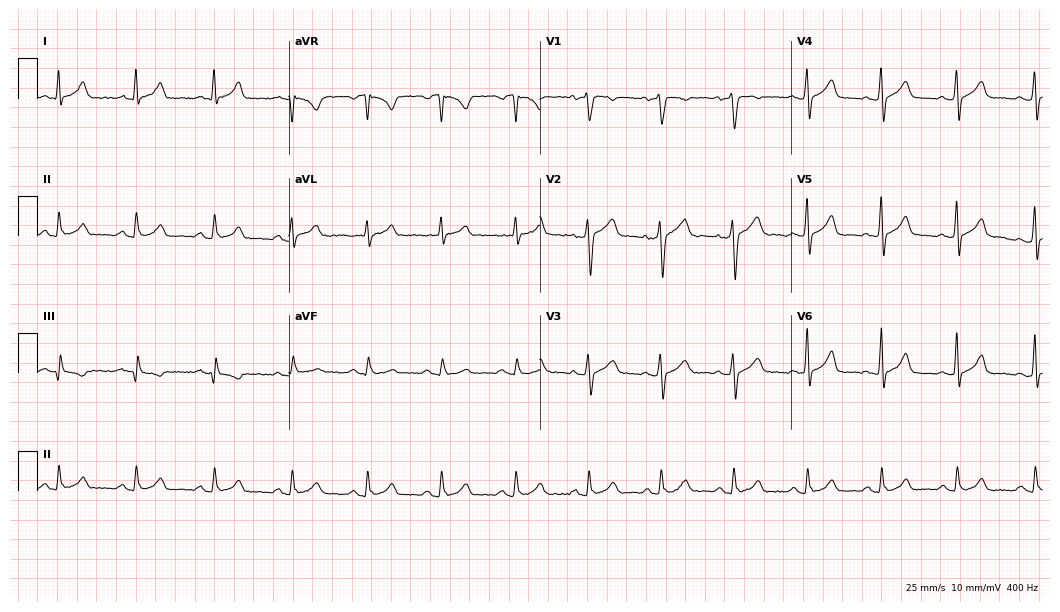
Standard 12-lead ECG recorded from a male, 38 years old (10.2-second recording at 400 Hz). Read as a normal ECG.